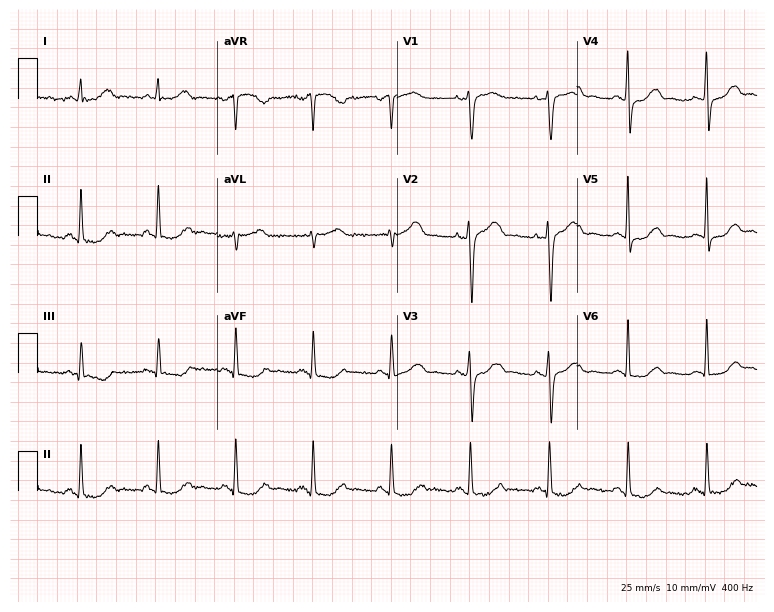
12-lead ECG from a woman, 63 years old. Labelled as a normal ECG.